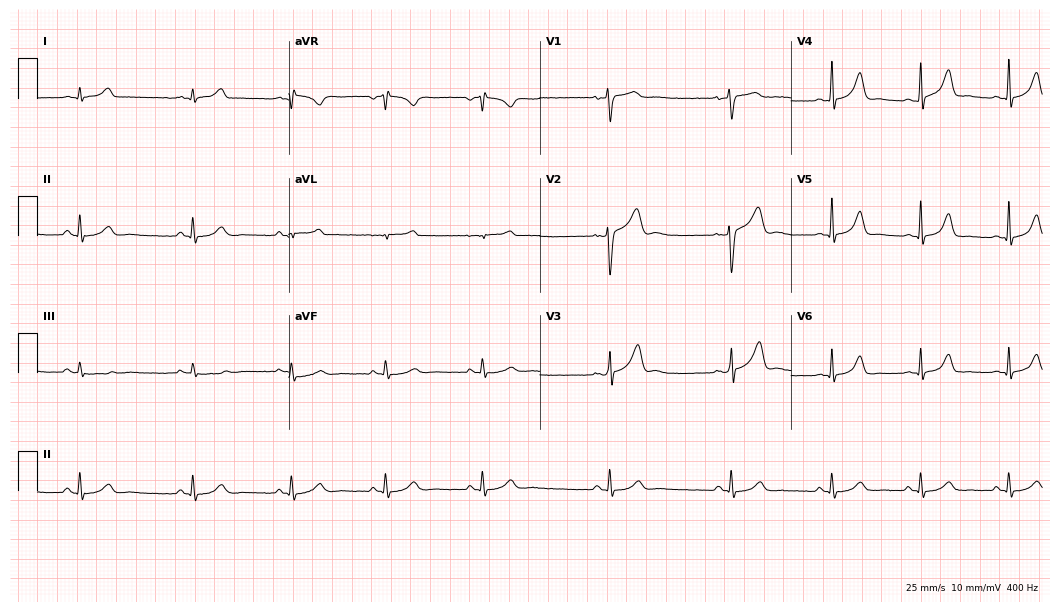
Electrocardiogram (10.2-second recording at 400 Hz), a 22-year-old male patient. Overall reading on record: normal ECG.